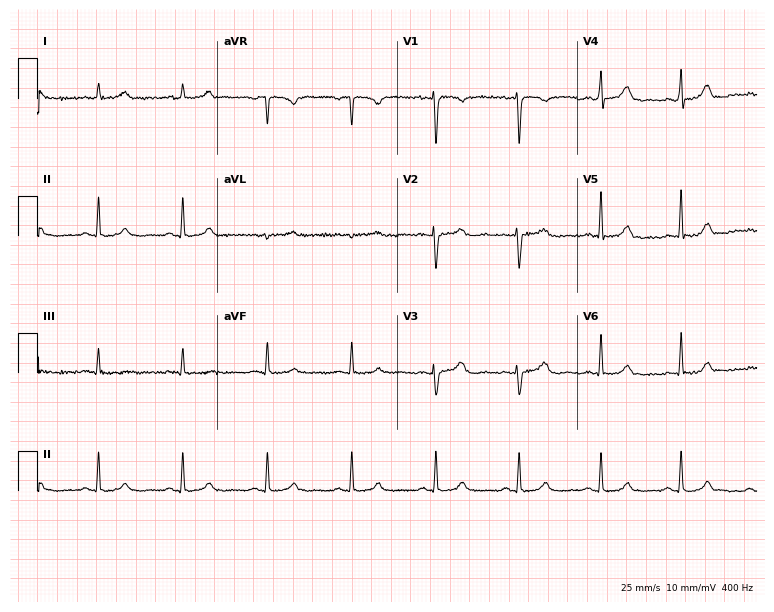
12-lead ECG (7.3-second recording at 400 Hz) from a 34-year-old woman. Labelled as a normal ECG.